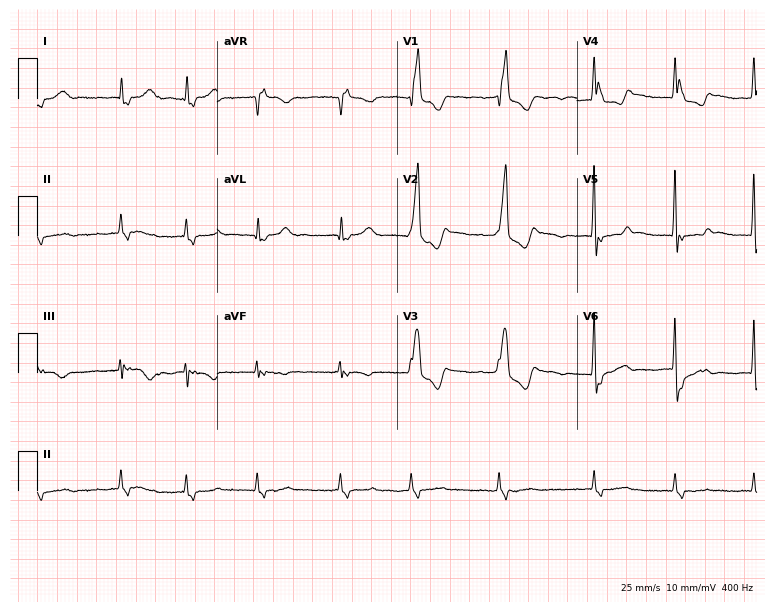
Resting 12-lead electrocardiogram (7.3-second recording at 400 Hz). Patient: a male, 83 years old. The tracing shows right bundle branch block, atrial fibrillation.